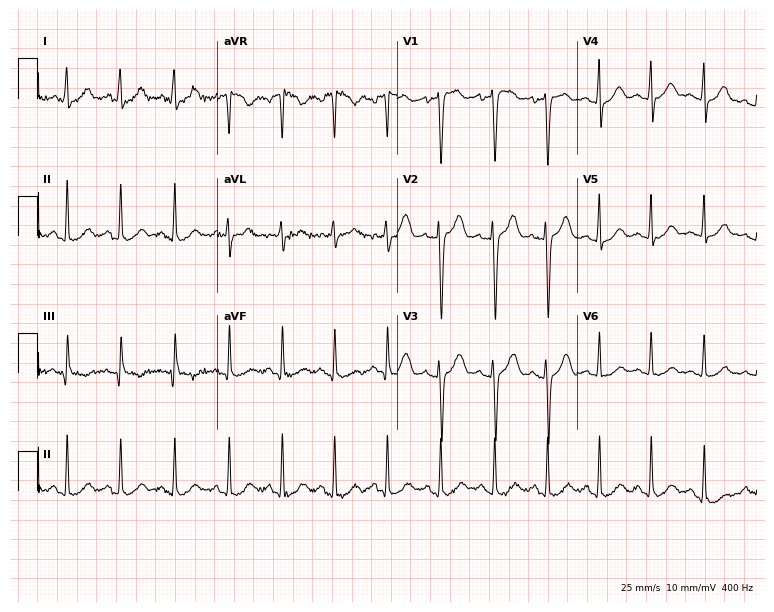
Resting 12-lead electrocardiogram (7.3-second recording at 400 Hz). Patient: a 21-year-old female. The tracing shows sinus tachycardia (a sinus rate of 100 beats per minute or more).